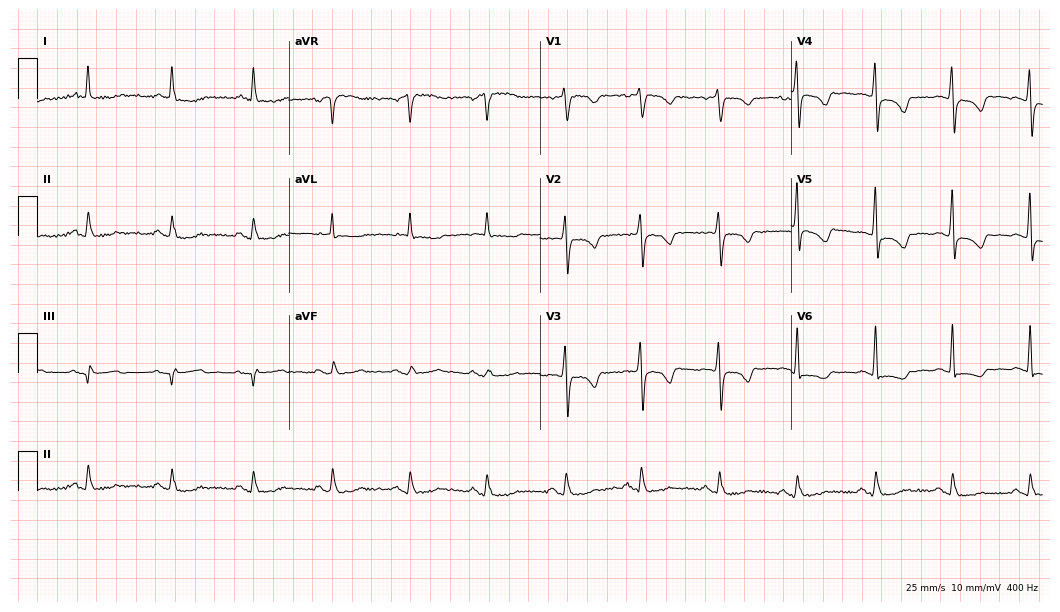
Resting 12-lead electrocardiogram. Patient: a woman, 58 years old. None of these six findings is recorded: first-degree AV block, right bundle branch block (RBBB), left bundle branch block (LBBB), sinus bradycardia, atrial fibrillation (AF), sinus tachycardia. Other findings, if any, are not listed.